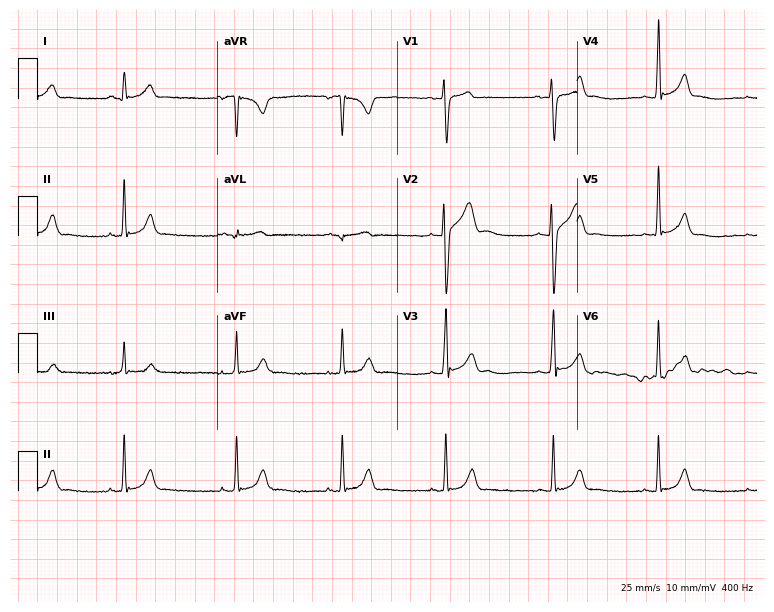
Standard 12-lead ECG recorded from a man, 25 years old (7.3-second recording at 400 Hz). Read as a normal ECG.